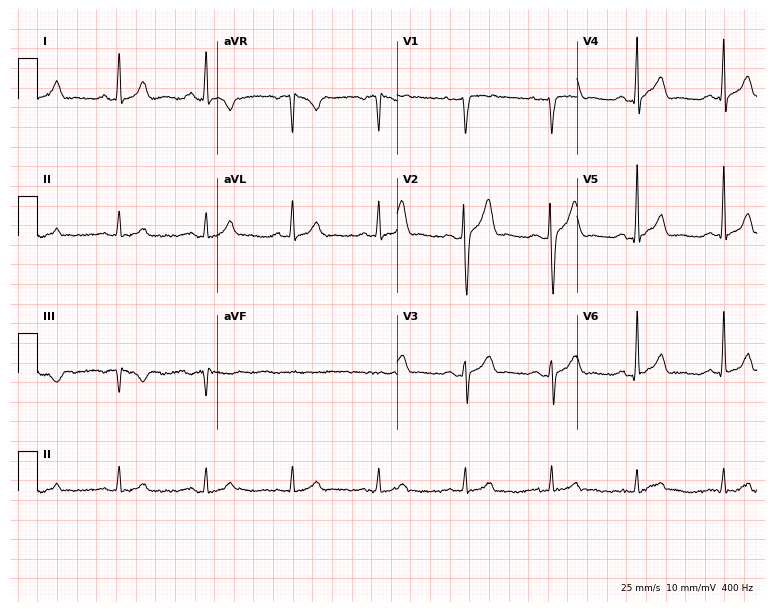
ECG — a man, 51 years old. Screened for six findings — first-degree AV block, right bundle branch block (RBBB), left bundle branch block (LBBB), sinus bradycardia, atrial fibrillation (AF), sinus tachycardia — none is recorded. Findings outside these six are not listed.